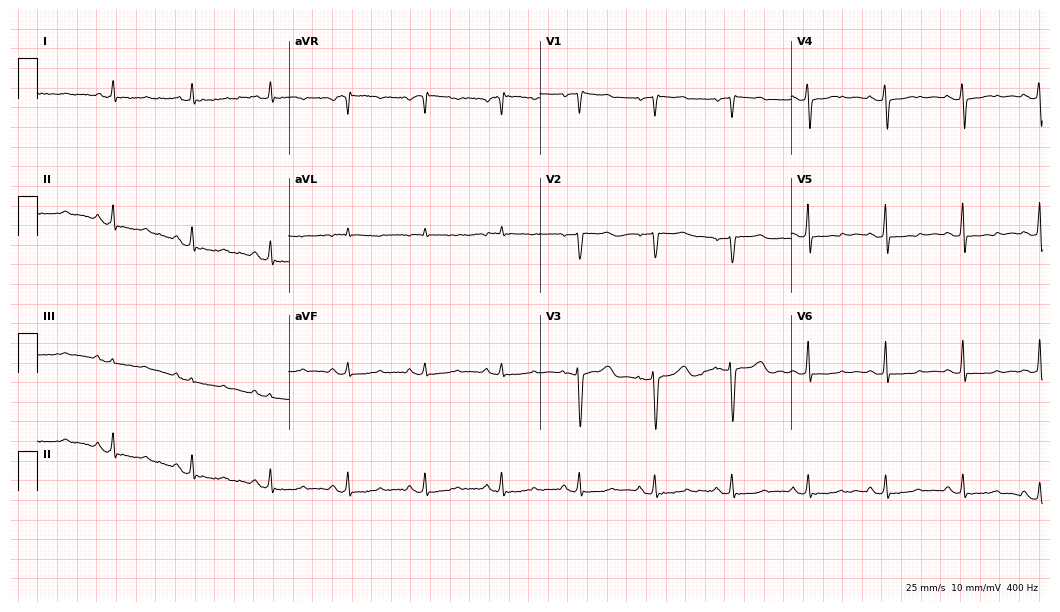
Standard 12-lead ECG recorded from a female, 52 years old. None of these six findings is recorded: first-degree AV block, right bundle branch block, left bundle branch block, sinus bradycardia, atrial fibrillation, sinus tachycardia.